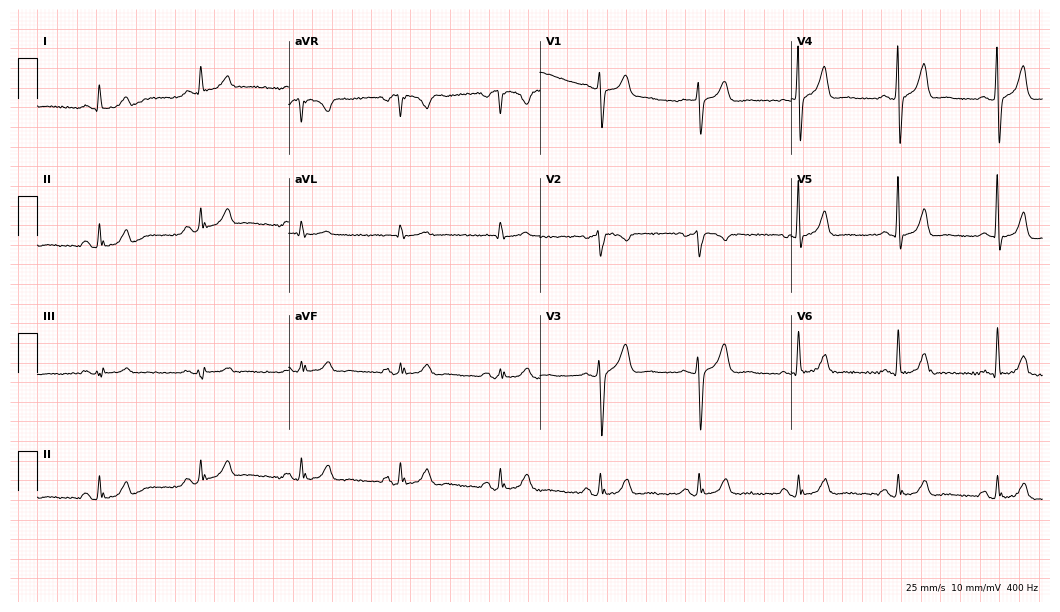
12-lead ECG (10.2-second recording at 400 Hz) from a male patient, 60 years old. Labelled as a normal ECG.